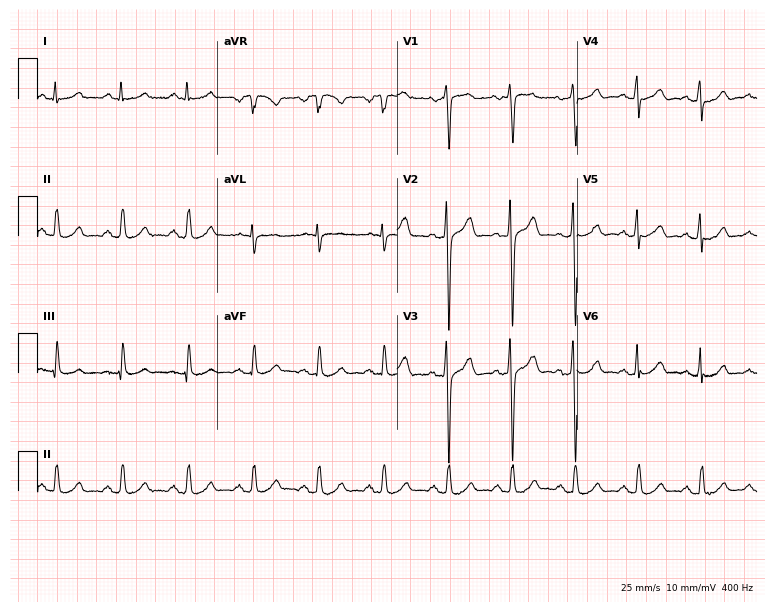
Standard 12-lead ECG recorded from a male, 45 years old. Read as a normal ECG.